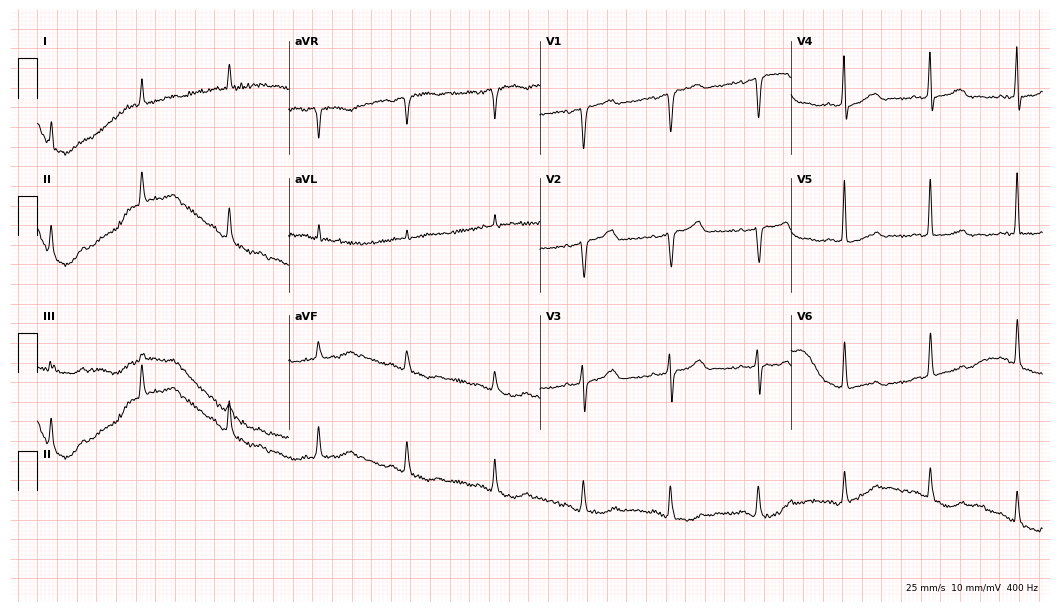
12-lead ECG from a female patient, 77 years old. No first-degree AV block, right bundle branch block, left bundle branch block, sinus bradycardia, atrial fibrillation or sinus tachycardia recorded for this tracing.